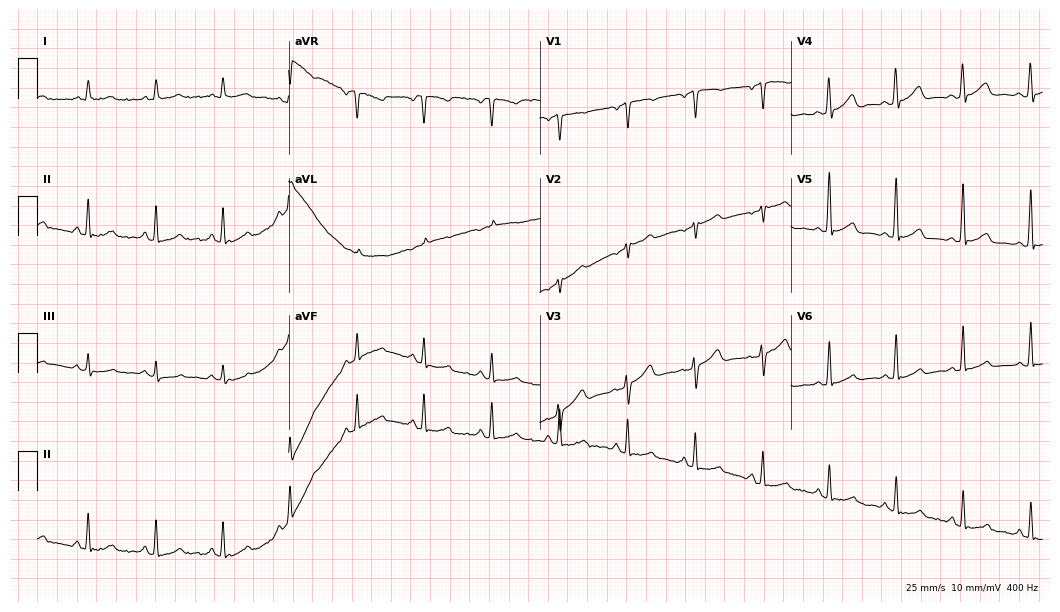
Electrocardiogram, a woman, 49 years old. Overall reading on record: normal ECG.